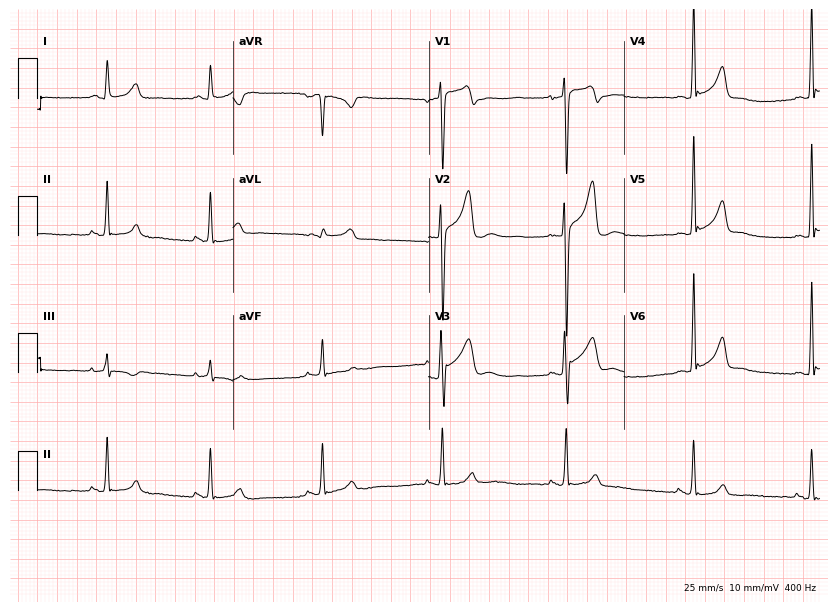
Resting 12-lead electrocardiogram (8-second recording at 400 Hz). Patient: a 19-year-old man. The tracing shows sinus bradycardia (a sinus rate of 50 beats per minute or less).